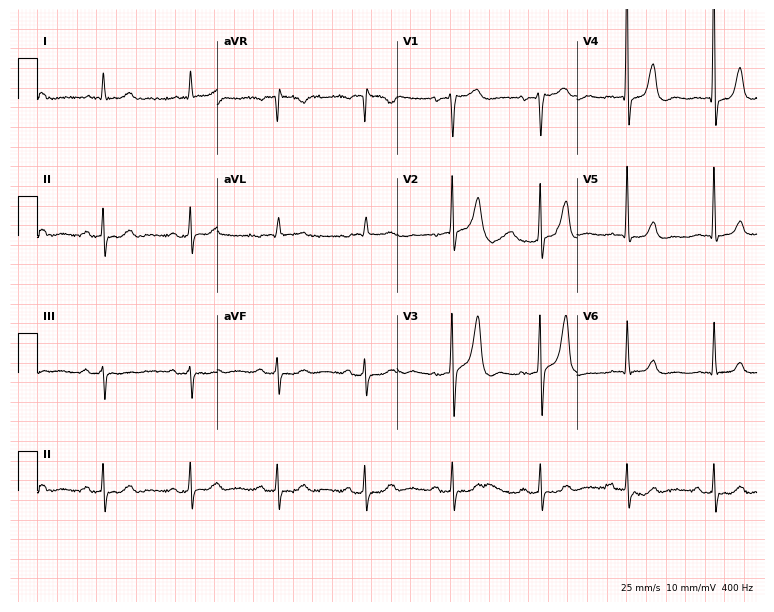
12-lead ECG (7.3-second recording at 400 Hz) from a 71-year-old male patient. Labelled as a normal ECG.